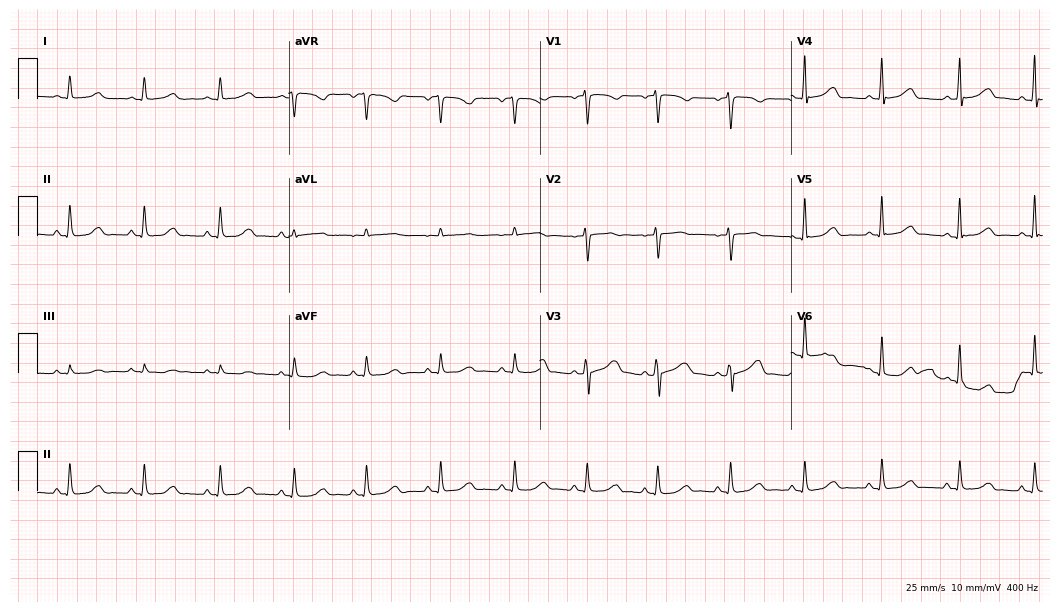
Standard 12-lead ECG recorded from a female, 54 years old. Read as a normal ECG.